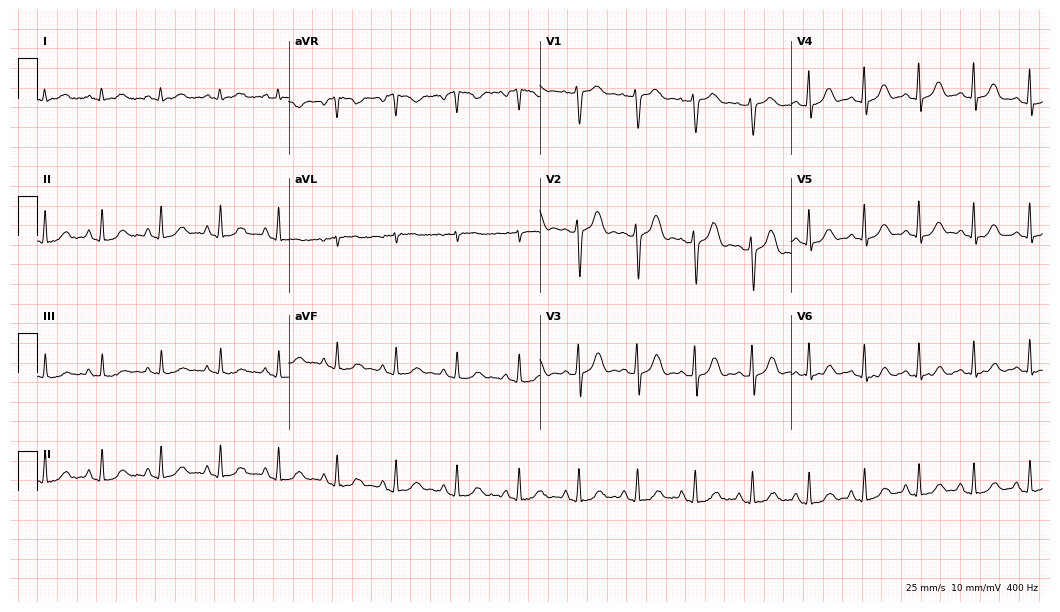
12-lead ECG from a 37-year-old female patient. Recorded interpretation: within normal limits.